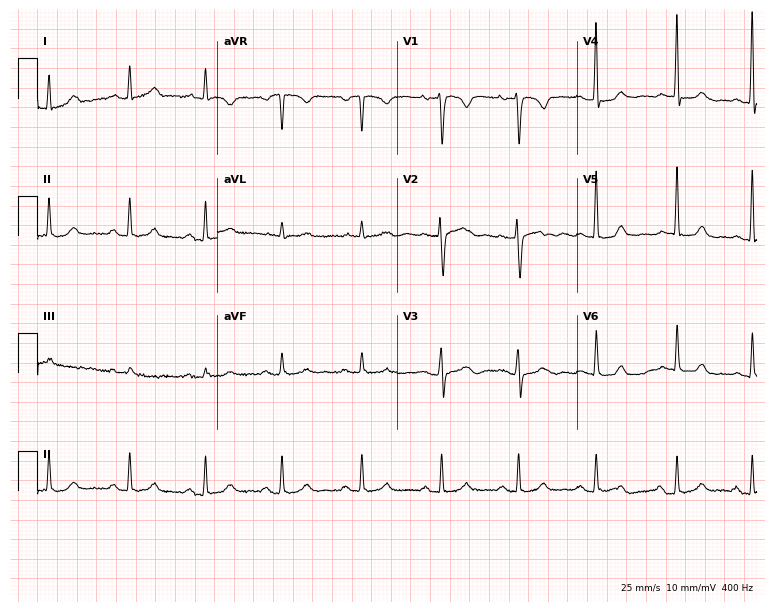
Resting 12-lead electrocardiogram (7.3-second recording at 400 Hz). Patient: a woman, 33 years old. Read as a normal ECG.